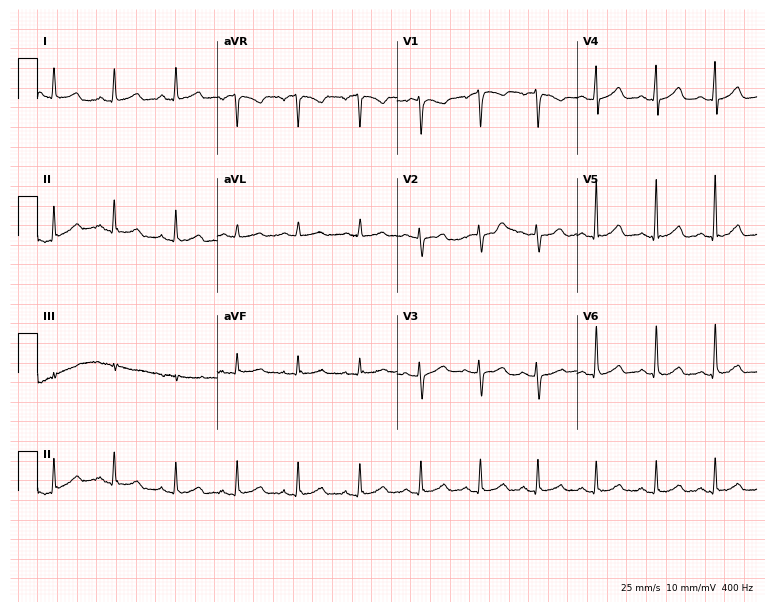
Electrocardiogram, a 52-year-old female. Overall reading on record: normal ECG.